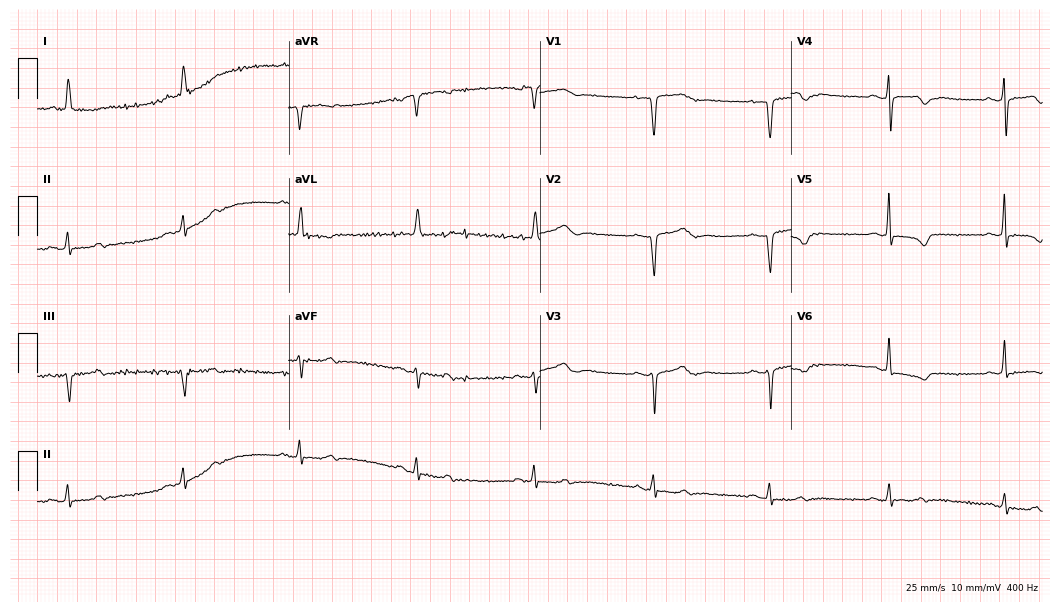
Resting 12-lead electrocardiogram (10.2-second recording at 400 Hz). Patient: a 77-year-old woman. None of these six findings is recorded: first-degree AV block, right bundle branch block (RBBB), left bundle branch block (LBBB), sinus bradycardia, atrial fibrillation (AF), sinus tachycardia.